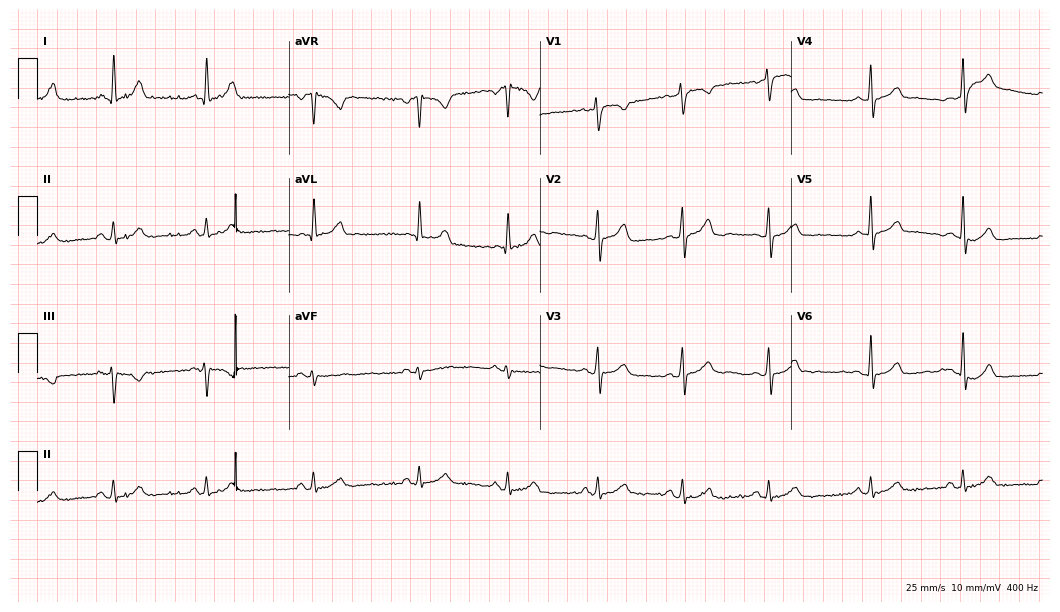
12-lead ECG from a 51-year-old woman. Recorded interpretation: within normal limits.